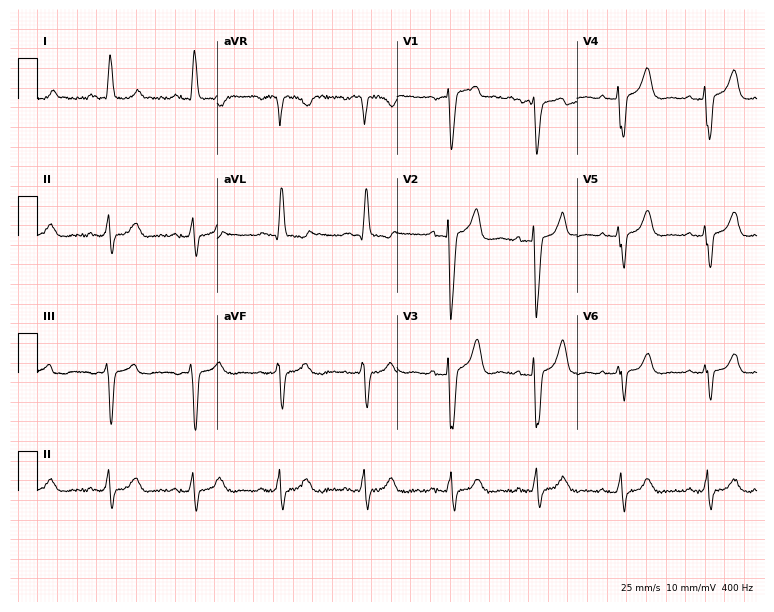
12-lead ECG from an 85-year-old woman. No first-degree AV block, right bundle branch block, left bundle branch block, sinus bradycardia, atrial fibrillation or sinus tachycardia recorded for this tracing.